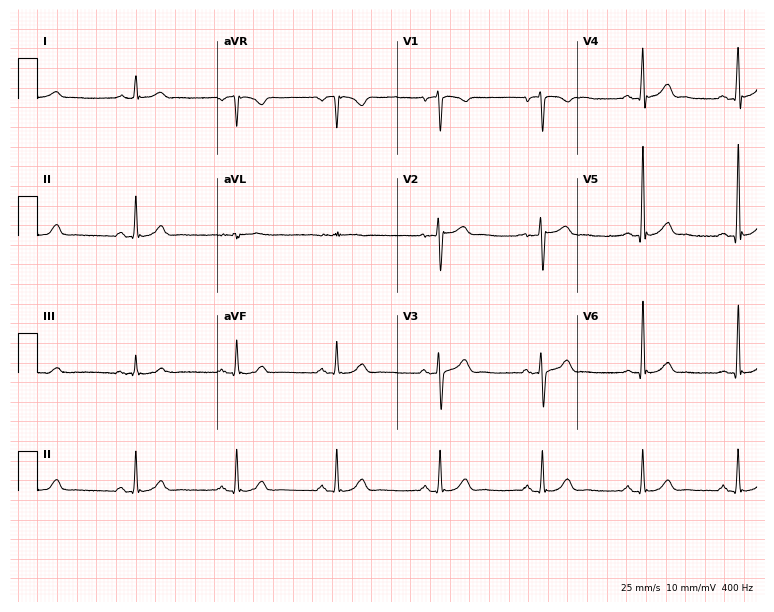
Standard 12-lead ECG recorded from a 47-year-old man. None of these six findings is recorded: first-degree AV block, right bundle branch block, left bundle branch block, sinus bradycardia, atrial fibrillation, sinus tachycardia.